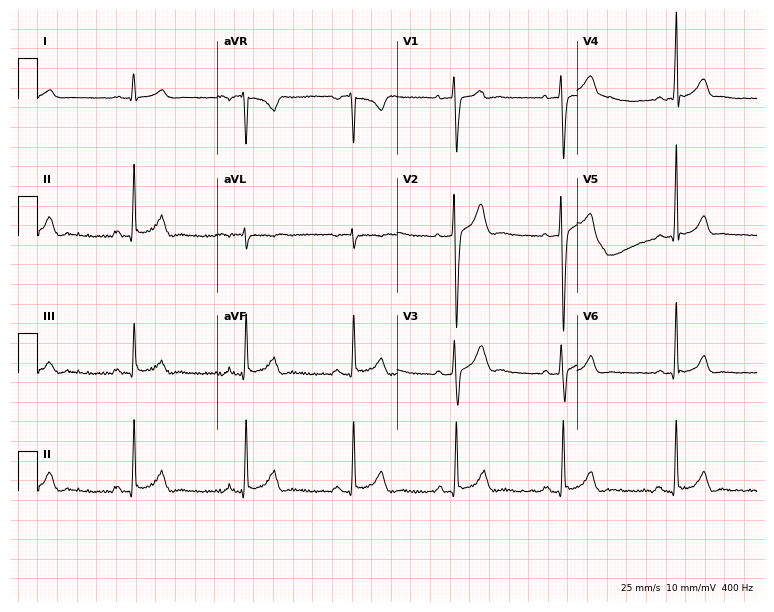
12-lead ECG (7.3-second recording at 400 Hz) from a 26-year-old male patient. Labelled as a normal ECG.